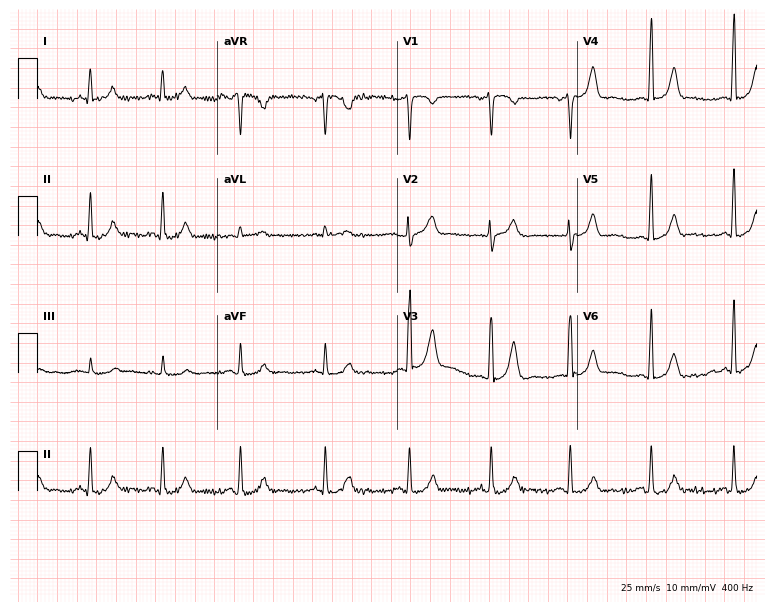
Standard 12-lead ECG recorded from a female patient, 33 years old (7.3-second recording at 400 Hz). None of these six findings is recorded: first-degree AV block, right bundle branch block, left bundle branch block, sinus bradycardia, atrial fibrillation, sinus tachycardia.